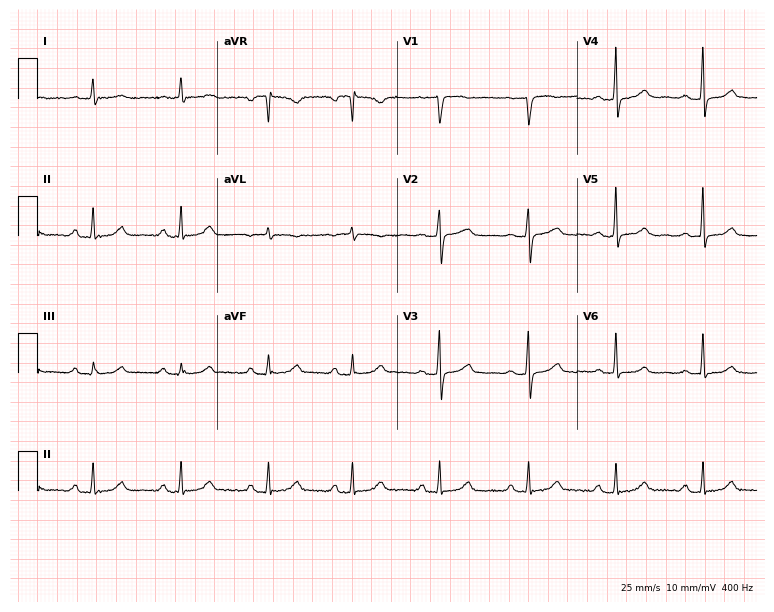
12-lead ECG (7.3-second recording at 400 Hz) from a female, 56 years old. Labelled as a normal ECG.